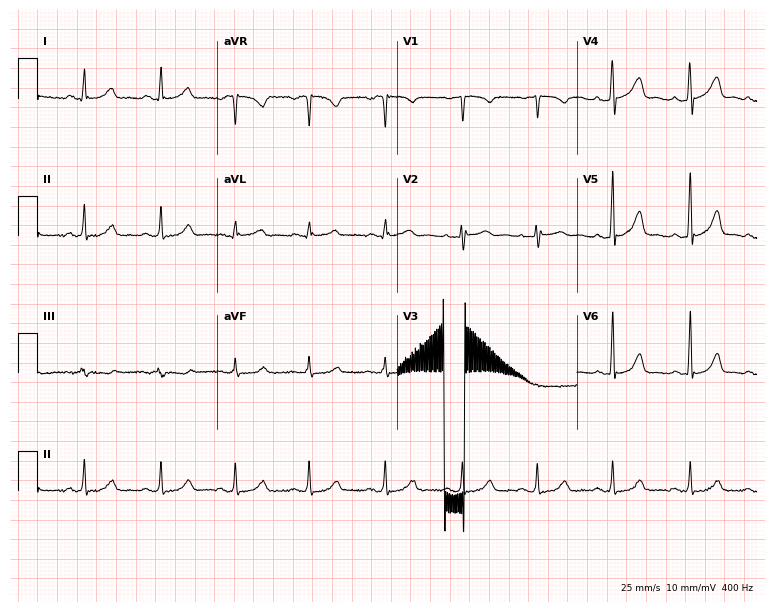
Standard 12-lead ECG recorded from a 31-year-old female patient (7.3-second recording at 400 Hz). Read as a normal ECG.